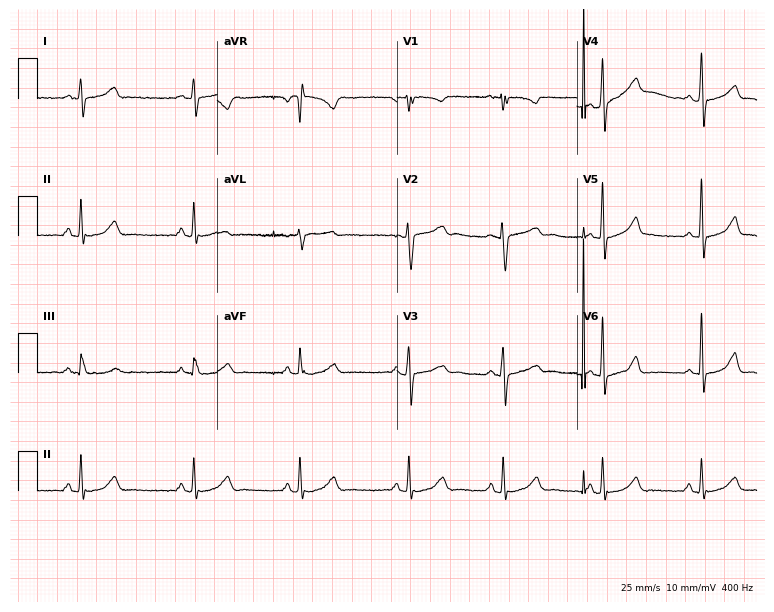
ECG — a female, 37 years old. Labelled as a normal ECG.